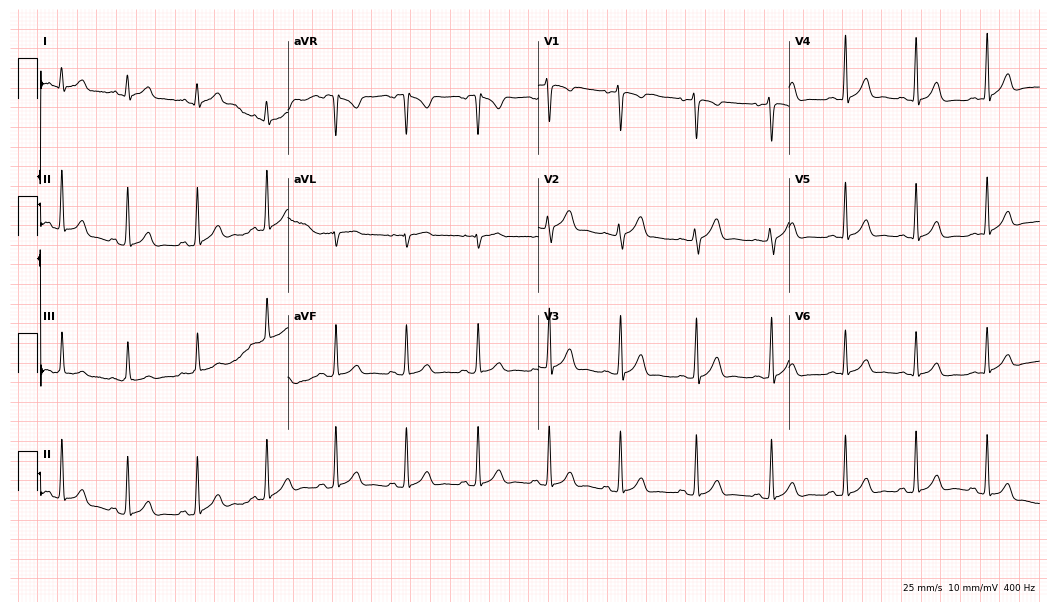
Standard 12-lead ECG recorded from a 28-year-old male (10.2-second recording at 400 Hz). Read as a normal ECG.